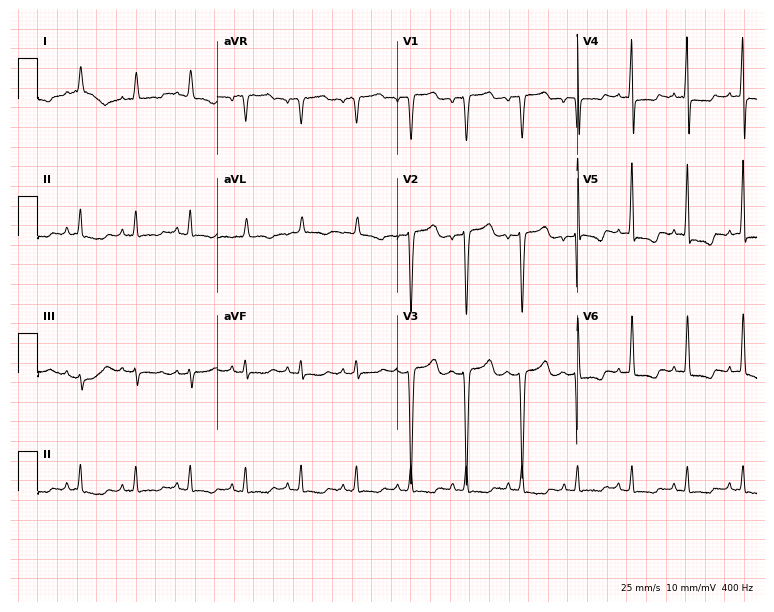
12-lead ECG from an 81-year-old female. Findings include sinus tachycardia (a sinus rate of 100 beats per minute or more).